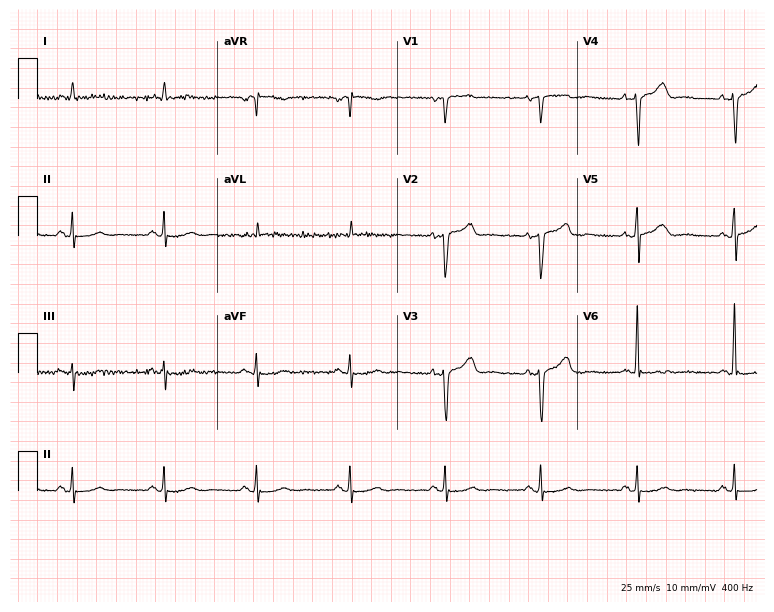
ECG (7.3-second recording at 400 Hz) — a 77-year-old man. Screened for six findings — first-degree AV block, right bundle branch block, left bundle branch block, sinus bradycardia, atrial fibrillation, sinus tachycardia — none is recorded. Findings outside these six are not listed.